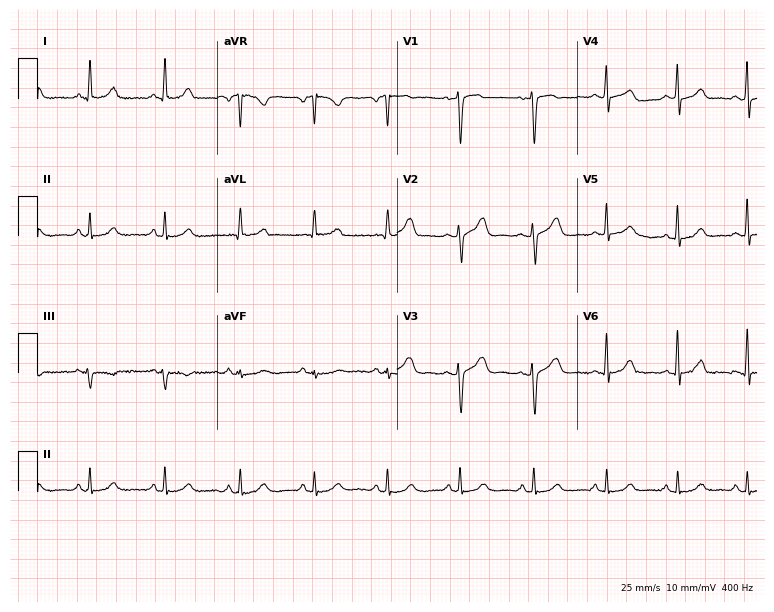
12-lead ECG (7.3-second recording at 400 Hz) from a 49-year-old female patient. Labelled as a normal ECG.